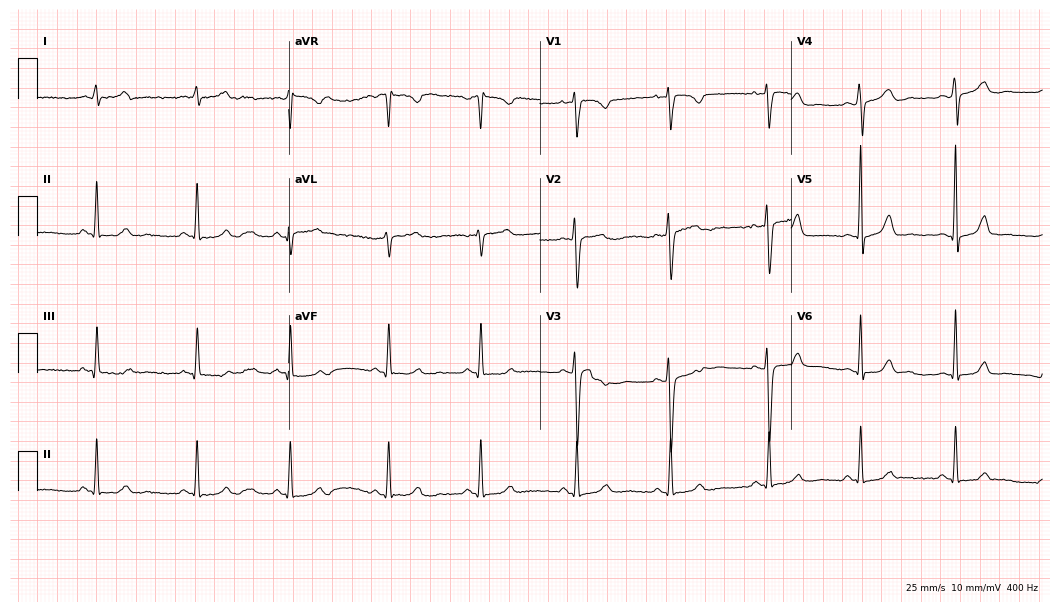
Resting 12-lead electrocardiogram (10.2-second recording at 400 Hz). Patient: a 38-year-old female. None of these six findings is recorded: first-degree AV block, right bundle branch block, left bundle branch block, sinus bradycardia, atrial fibrillation, sinus tachycardia. Only these six findings were labelled.